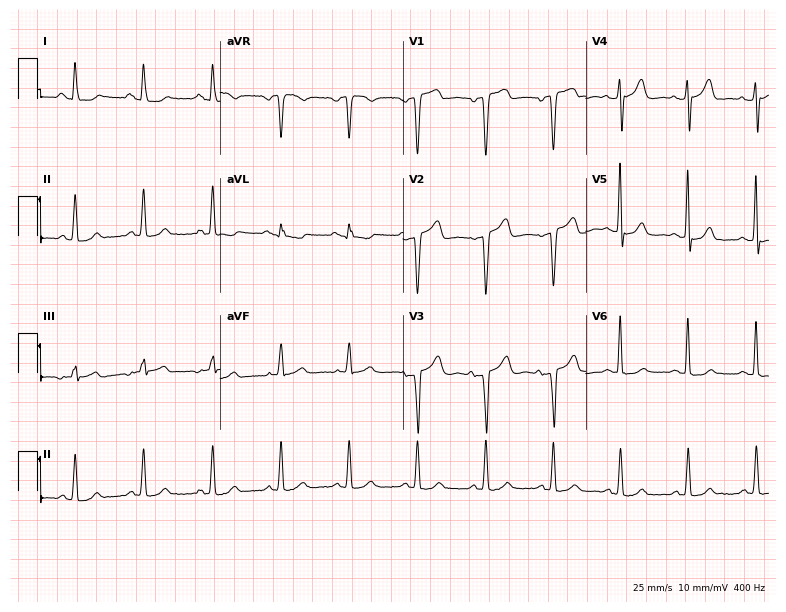
Resting 12-lead electrocardiogram. Patient: an 81-year-old female. None of these six findings is recorded: first-degree AV block, right bundle branch block, left bundle branch block, sinus bradycardia, atrial fibrillation, sinus tachycardia.